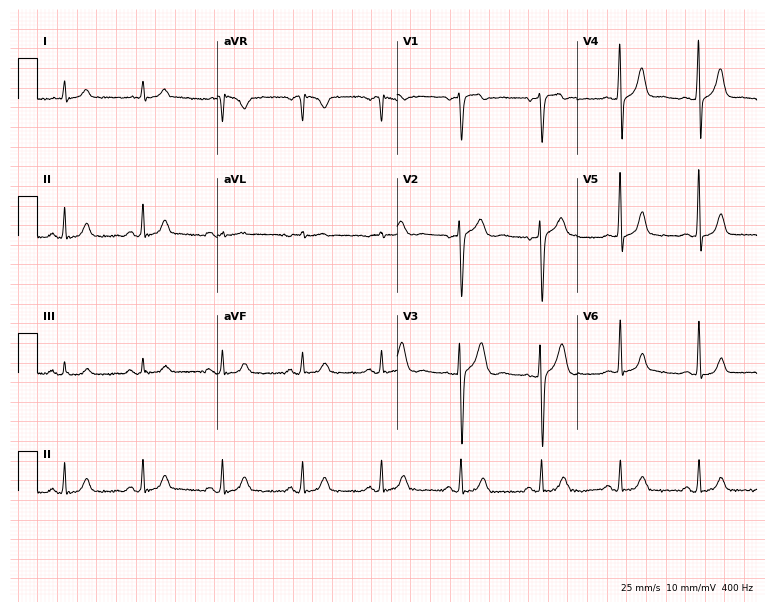
12-lead ECG from a 76-year-old man (7.3-second recording at 400 Hz). Recorded interpretation: within normal limits.